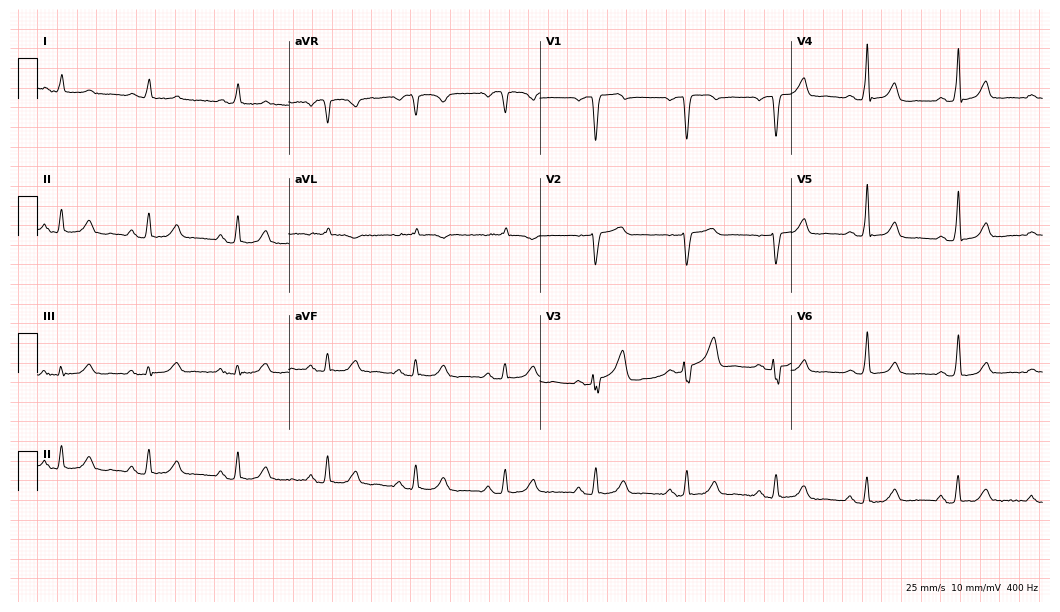
ECG (10.2-second recording at 400 Hz) — a 79-year-old male patient. Labelled as a normal ECG.